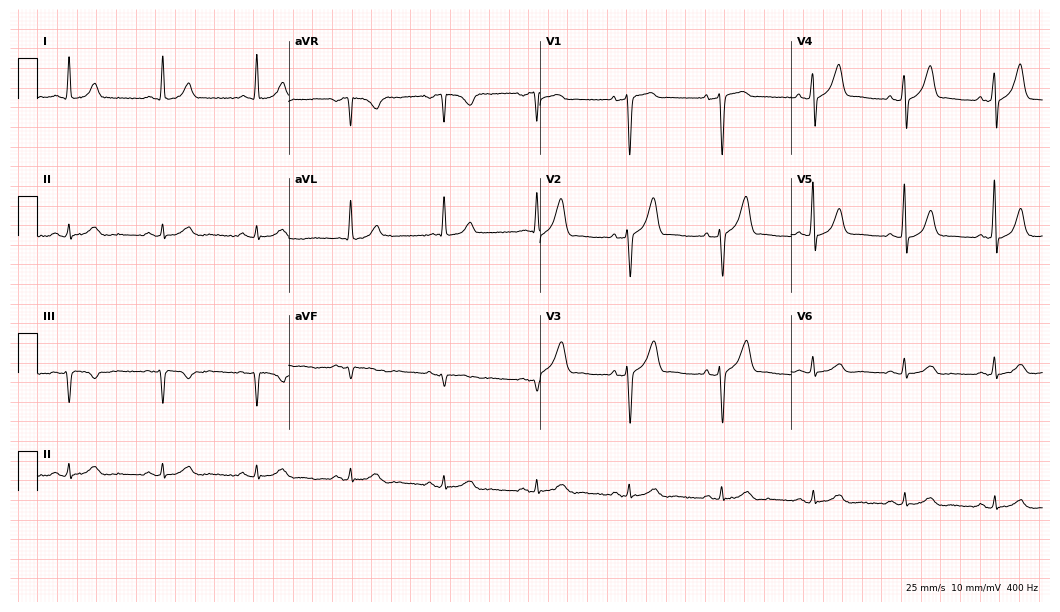
Resting 12-lead electrocardiogram (10.2-second recording at 400 Hz). Patient: a 69-year-old woman. Read as a normal ECG.